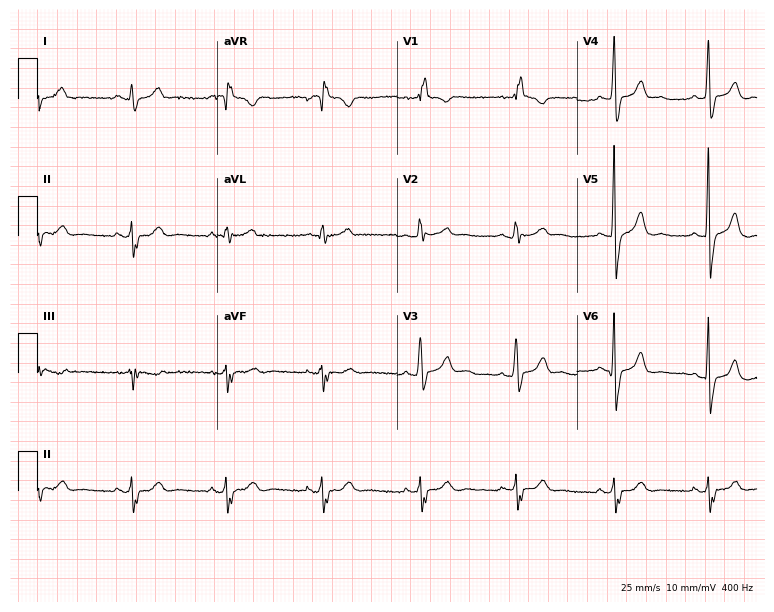
12-lead ECG from a 64-year-old man (7.3-second recording at 400 Hz). Shows right bundle branch block.